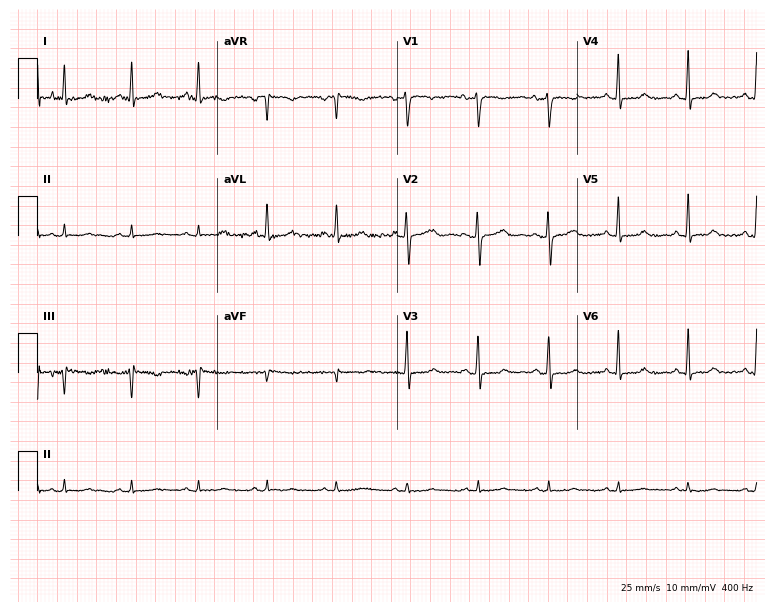
12-lead ECG from a 55-year-old woman. No first-degree AV block, right bundle branch block, left bundle branch block, sinus bradycardia, atrial fibrillation or sinus tachycardia recorded for this tracing. Only these six findings were labelled.